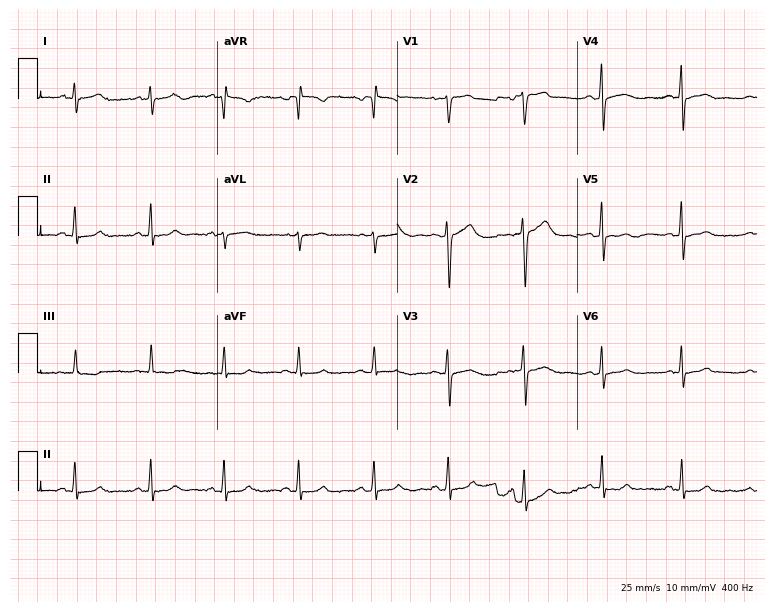
12-lead ECG (7.3-second recording at 400 Hz) from a 37-year-old woman. Screened for six findings — first-degree AV block, right bundle branch block, left bundle branch block, sinus bradycardia, atrial fibrillation, sinus tachycardia — none is recorded.